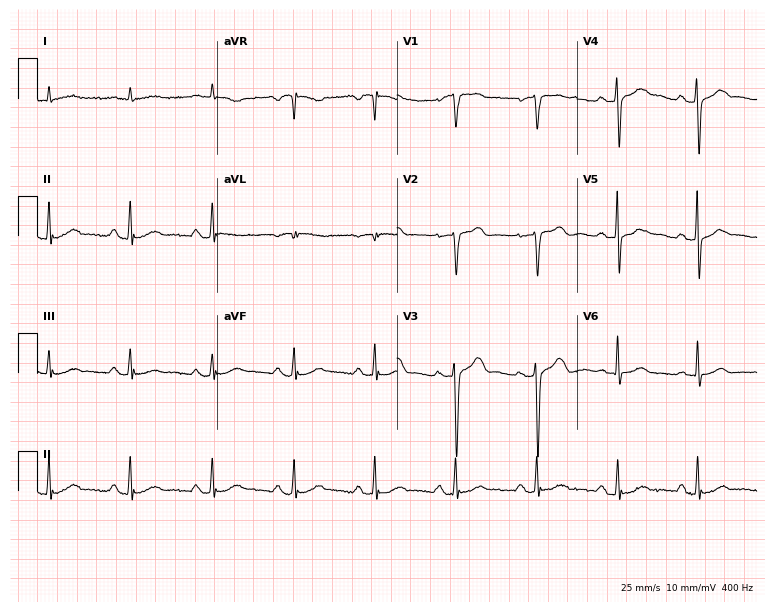
12-lead ECG from a male, 70 years old (7.3-second recording at 400 Hz). No first-degree AV block, right bundle branch block (RBBB), left bundle branch block (LBBB), sinus bradycardia, atrial fibrillation (AF) or sinus tachycardia recorded for this tracing. Findings outside these six are not listed.